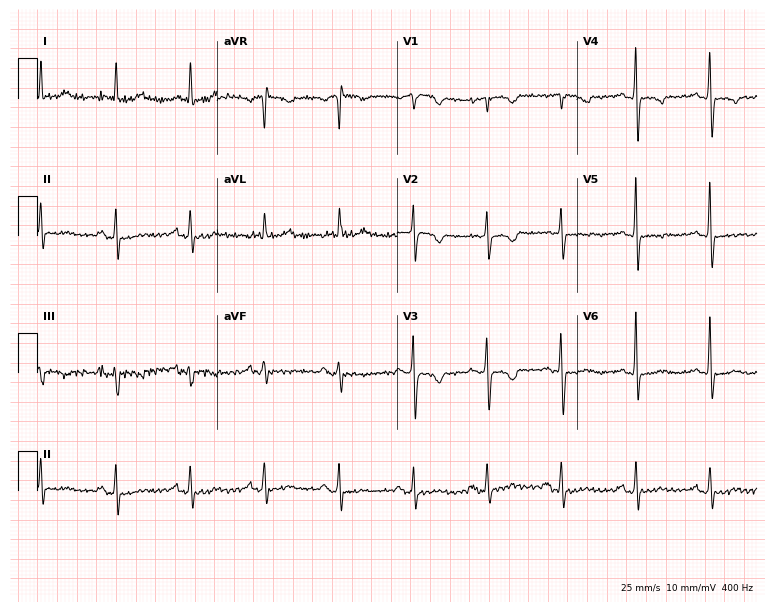
ECG (7.3-second recording at 400 Hz) — a woman, 77 years old. Screened for six findings — first-degree AV block, right bundle branch block, left bundle branch block, sinus bradycardia, atrial fibrillation, sinus tachycardia — none is recorded.